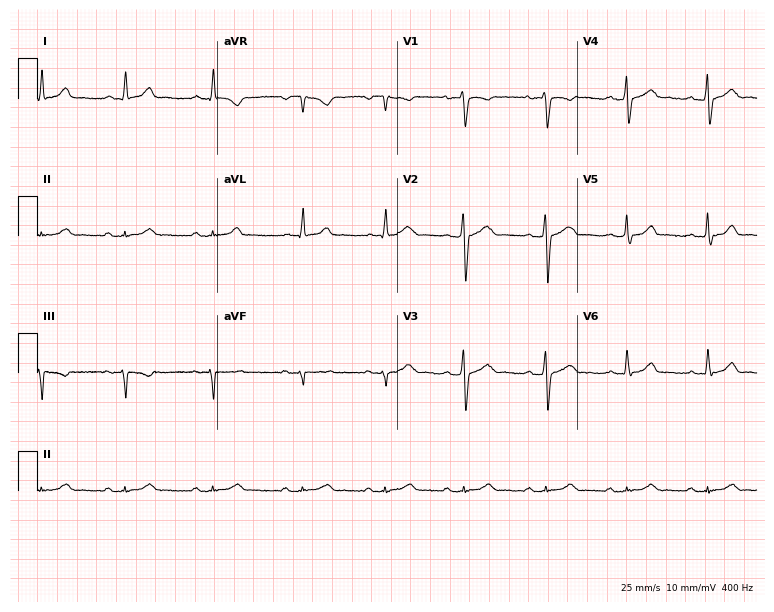
ECG (7.3-second recording at 400 Hz) — a male, 28 years old. Labelled as a normal ECG.